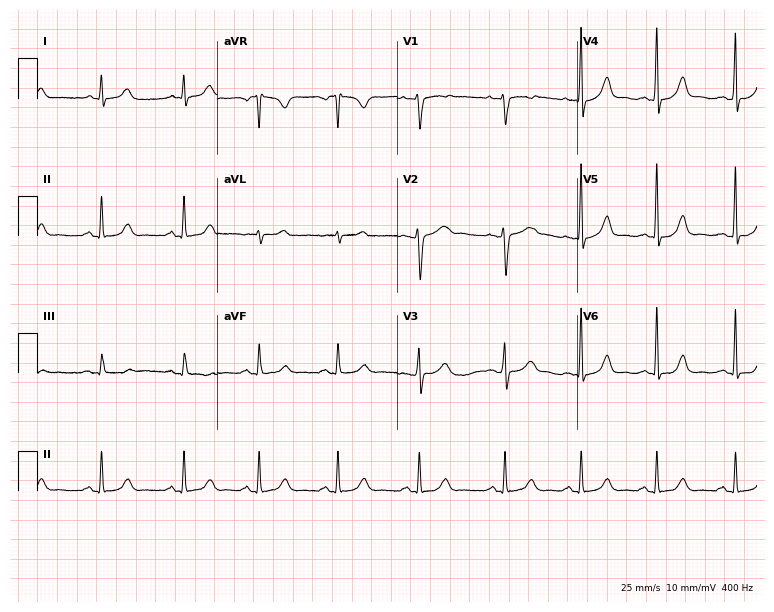
ECG — a 38-year-old woman. Labelled as a normal ECG.